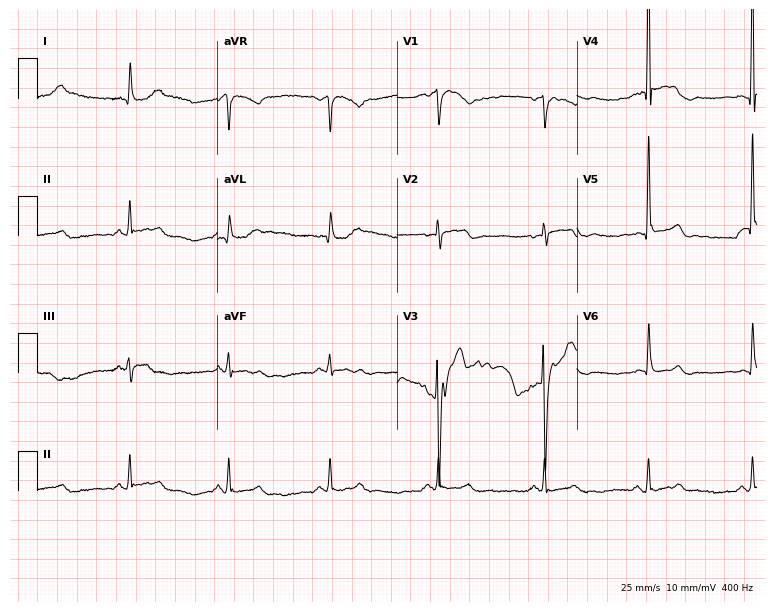
Standard 12-lead ECG recorded from a 61-year-old male patient. None of these six findings is recorded: first-degree AV block, right bundle branch block, left bundle branch block, sinus bradycardia, atrial fibrillation, sinus tachycardia.